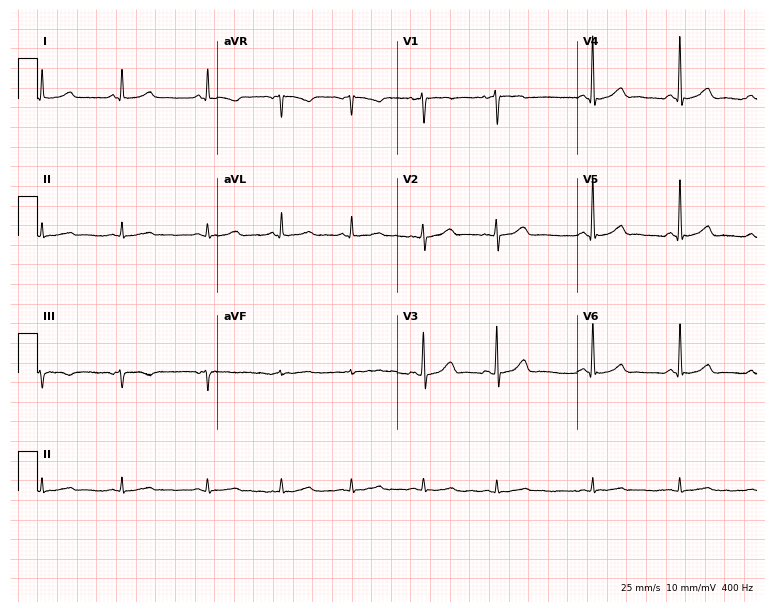
Standard 12-lead ECG recorded from a woman, 51 years old. Read as a normal ECG.